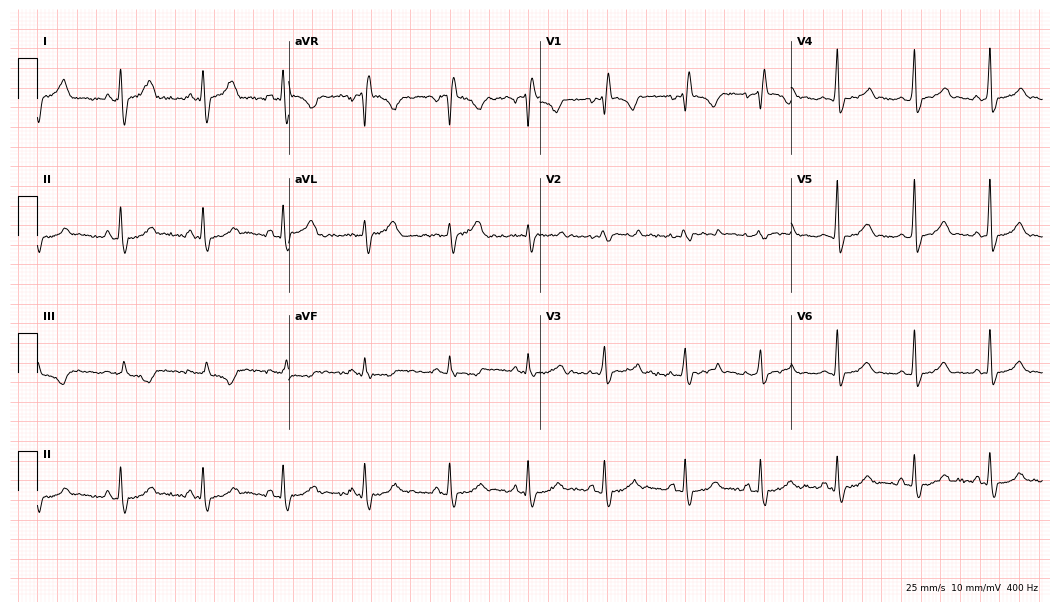
12-lead ECG from a female patient, 32 years old. Shows right bundle branch block.